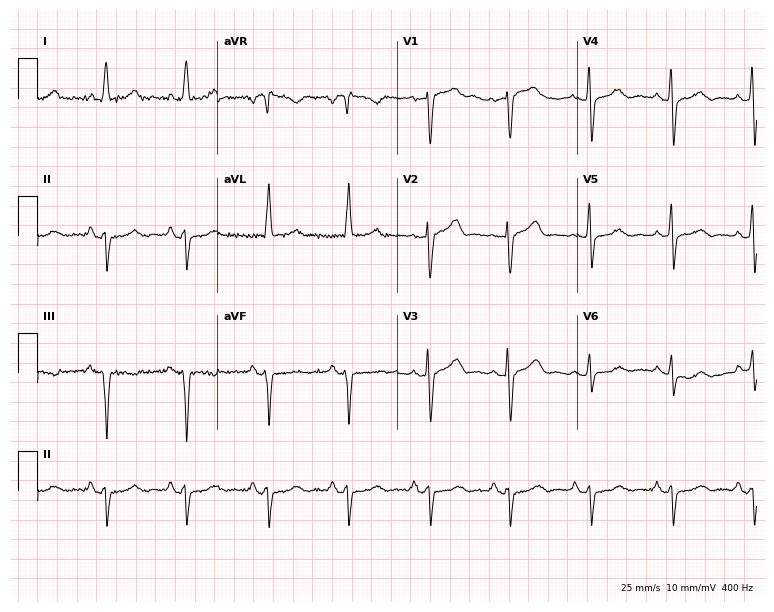
12-lead ECG from a female, 67 years old (7.3-second recording at 400 Hz). No first-degree AV block, right bundle branch block (RBBB), left bundle branch block (LBBB), sinus bradycardia, atrial fibrillation (AF) or sinus tachycardia recorded for this tracing. Other findings, if any, are not listed.